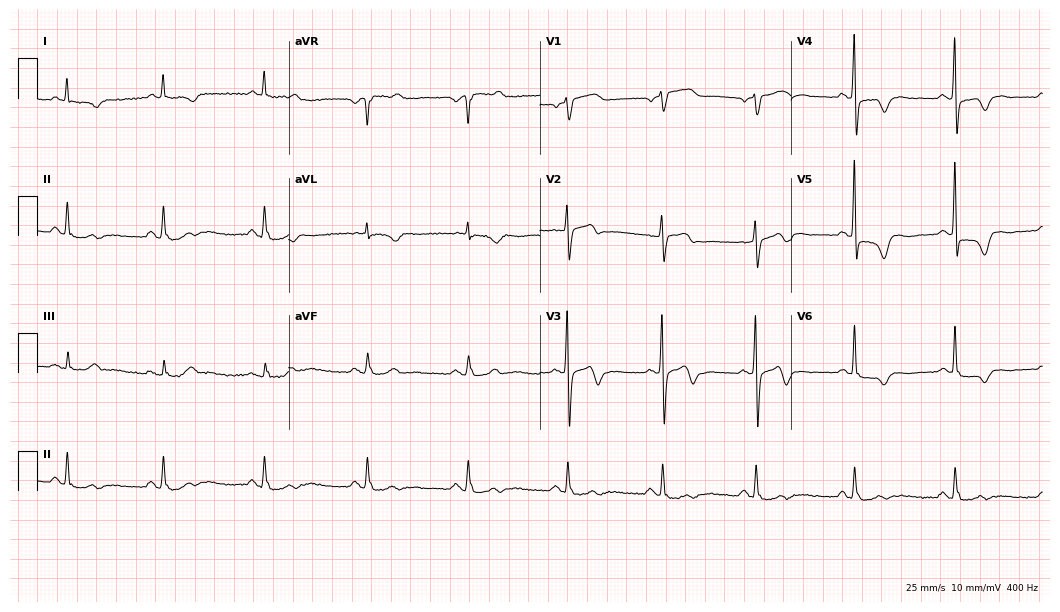
Electrocardiogram, a male patient, 61 years old. Of the six screened findings (first-degree AV block, right bundle branch block (RBBB), left bundle branch block (LBBB), sinus bradycardia, atrial fibrillation (AF), sinus tachycardia), none is recorded. Only these six findings were labelled.